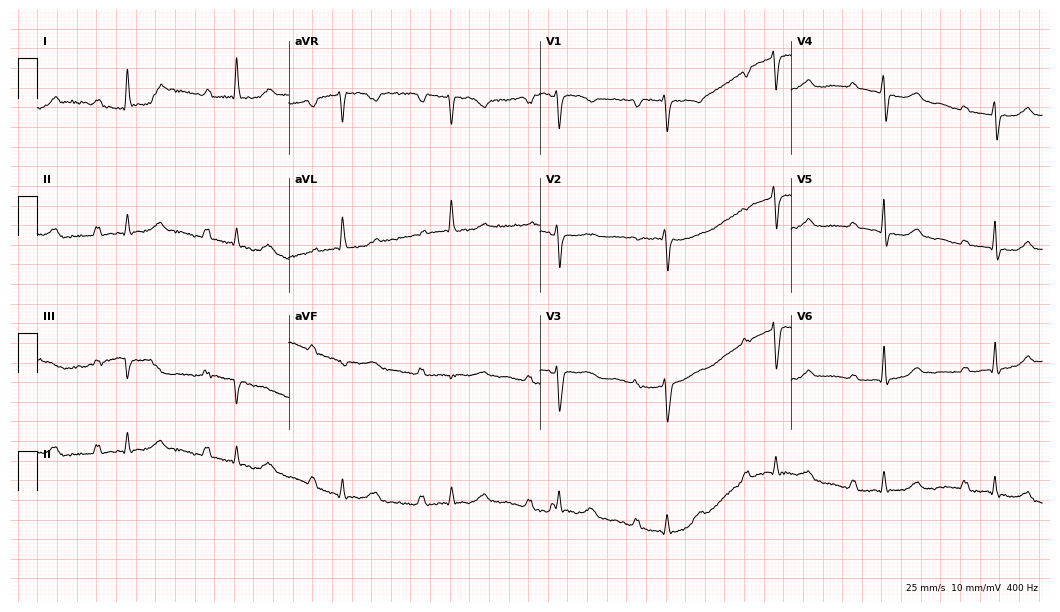
Resting 12-lead electrocardiogram (10.2-second recording at 400 Hz). Patient: a 65-year-old female. None of these six findings is recorded: first-degree AV block, right bundle branch block, left bundle branch block, sinus bradycardia, atrial fibrillation, sinus tachycardia.